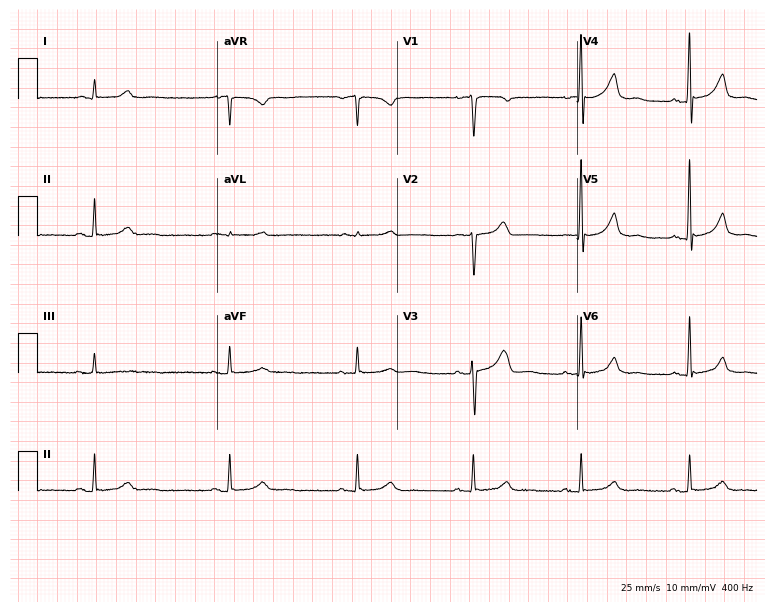
Resting 12-lead electrocardiogram (7.3-second recording at 400 Hz). Patient: a 49-year-old male. The tracing shows sinus bradycardia (a sinus rate of 50 beats per minute or less).